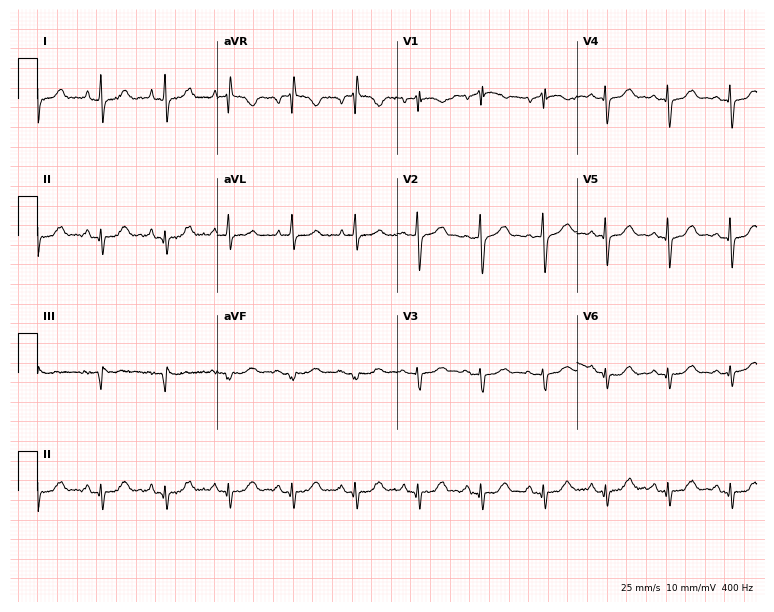
ECG (7.3-second recording at 400 Hz) — a female patient, 80 years old. Screened for six findings — first-degree AV block, right bundle branch block, left bundle branch block, sinus bradycardia, atrial fibrillation, sinus tachycardia — none is recorded. Findings outside these six are not listed.